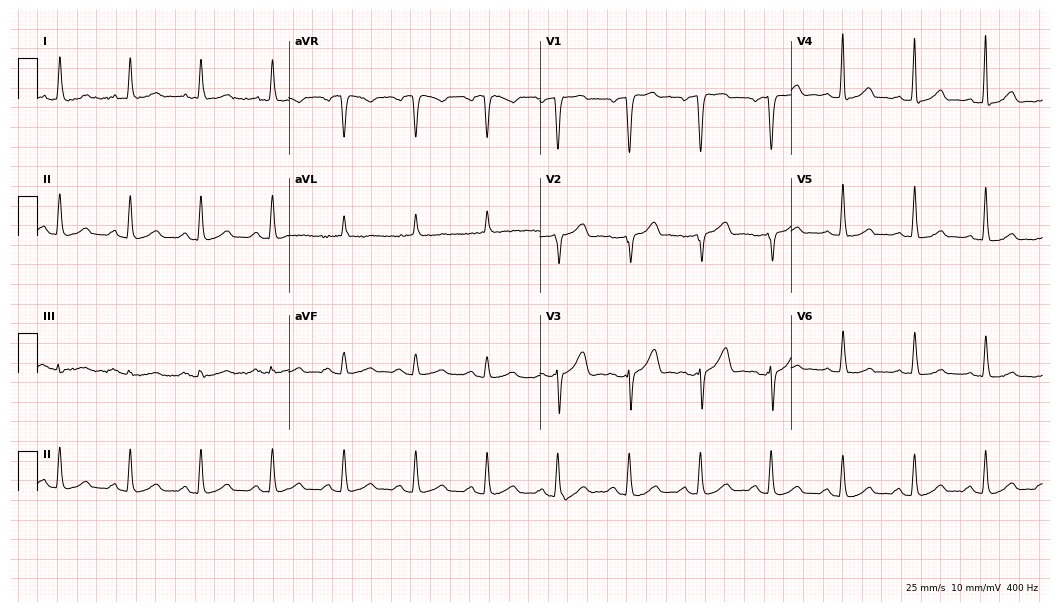
Electrocardiogram, a 54-year-old female. Of the six screened findings (first-degree AV block, right bundle branch block, left bundle branch block, sinus bradycardia, atrial fibrillation, sinus tachycardia), none is recorded.